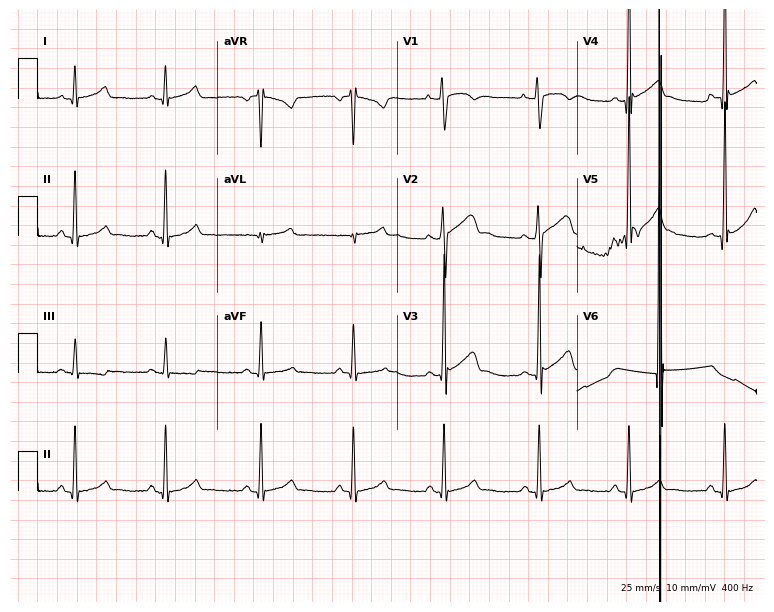
12-lead ECG from a 21-year-old man (7.3-second recording at 400 Hz). No first-degree AV block, right bundle branch block (RBBB), left bundle branch block (LBBB), sinus bradycardia, atrial fibrillation (AF) or sinus tachycardia recorded for this tracing. Findings outside these six are not listed.